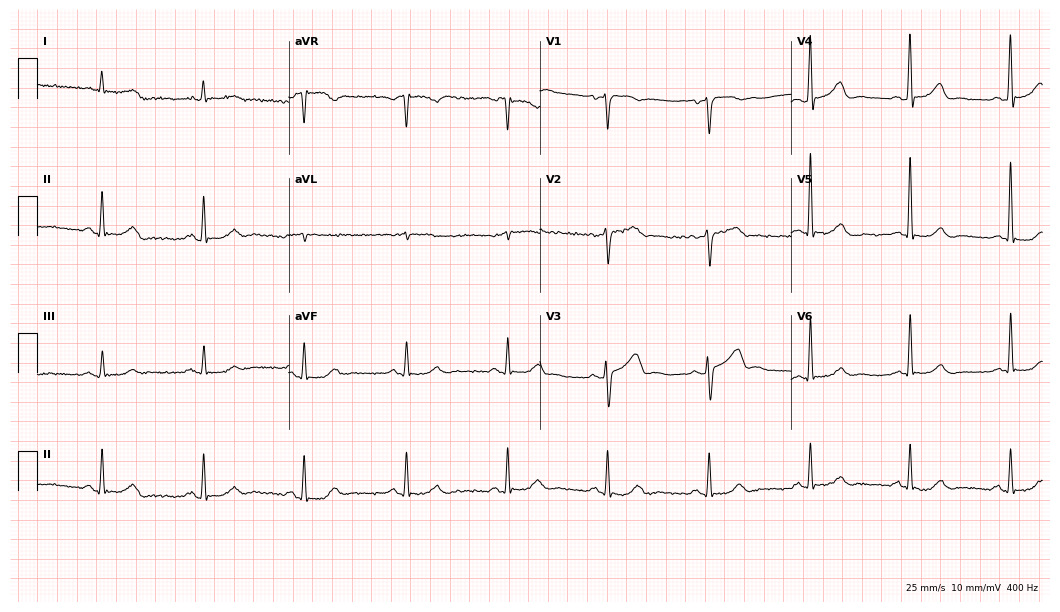
ECG (10.2-second recording at 400 Hz) — a man, 73 years old. Labelled as a normal ECG.